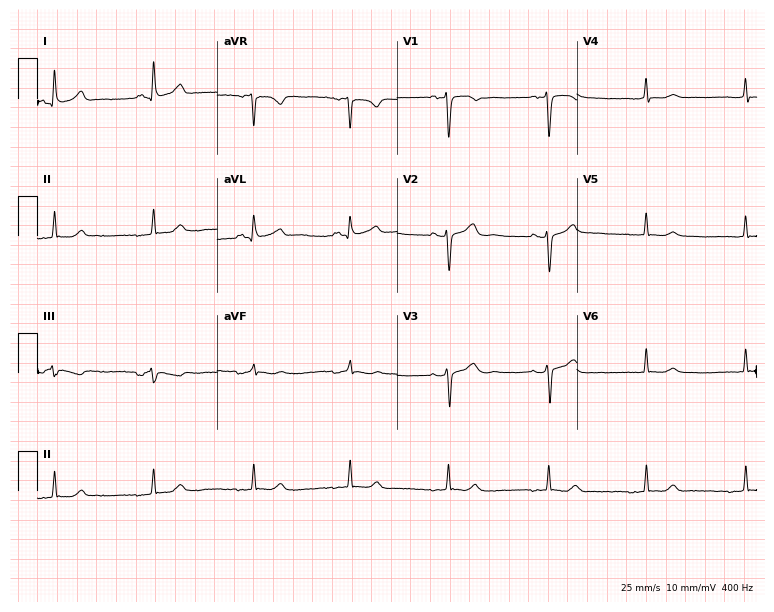
Standard 12-lead ECG recorded from a female patient, 50 years old (7.3-second recording at 400 Hz). None of these six findings is recorded: first-degree AV block, right bundle branch block (RBBB), left bundle branch block (LBBB), sinus bradycardia, atrial fibrillation (AF), sinus tachycardia.